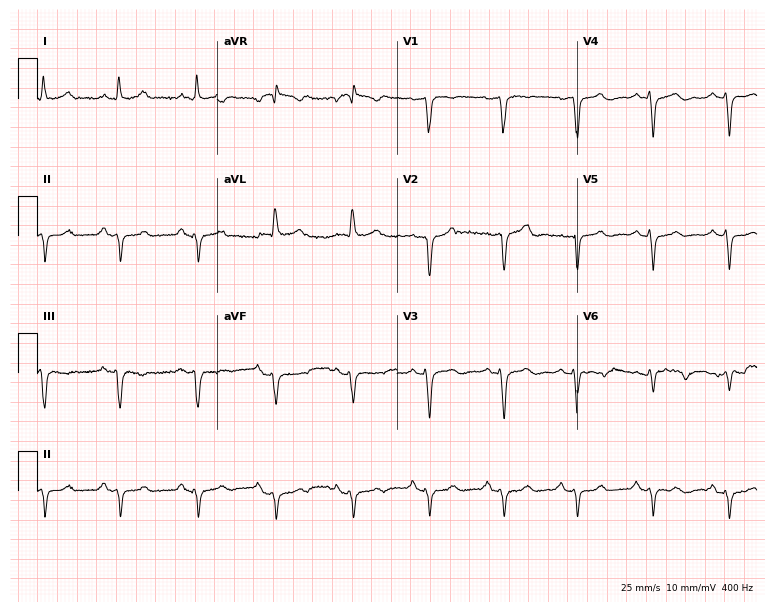
ECG (7.3-second recording at 400 Hz) — a 49-year-old male. Screened for six findings — first-degree AV block, right bundle branch block (RBBB), left bundle branch block (LBBB), sinus bradycardia, atrial fibrillation (AF), sinus tachycardia — none is recorded.